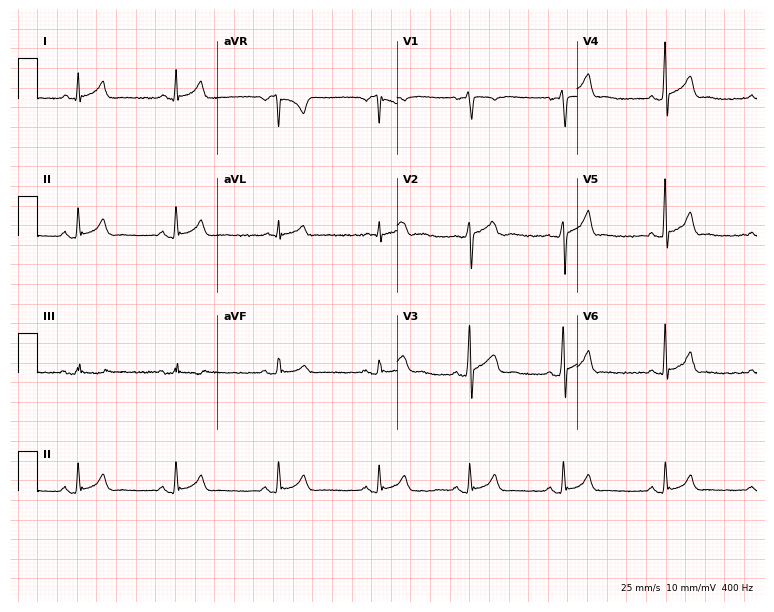
12-lead ECG from a 24-year-old man. Labelled as a normal ECG.